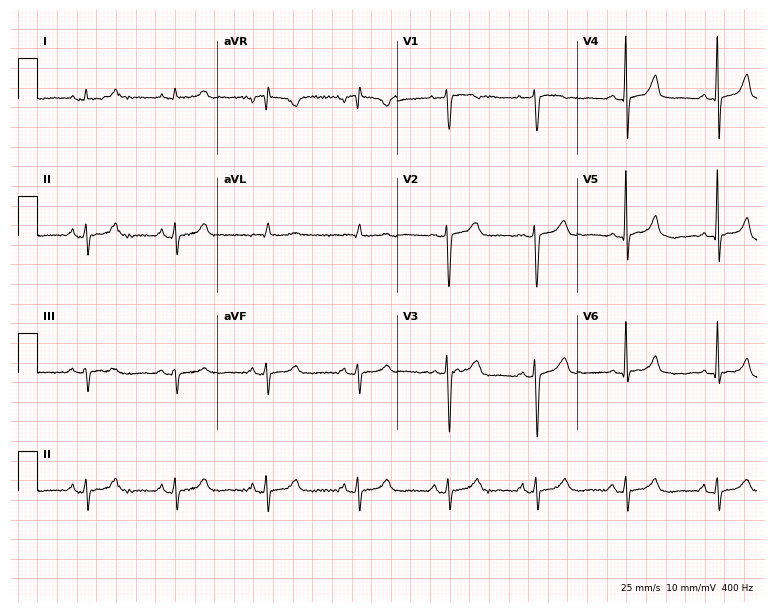
12-lead ECG from a 52-year-old female (7.3-second recording at 400 Hz). No first-degree AV block, right bundle branch block, left bundle branch block, sinus bradycardia, atrial fibrillation or sinus tachycardia recorded for this tracing.